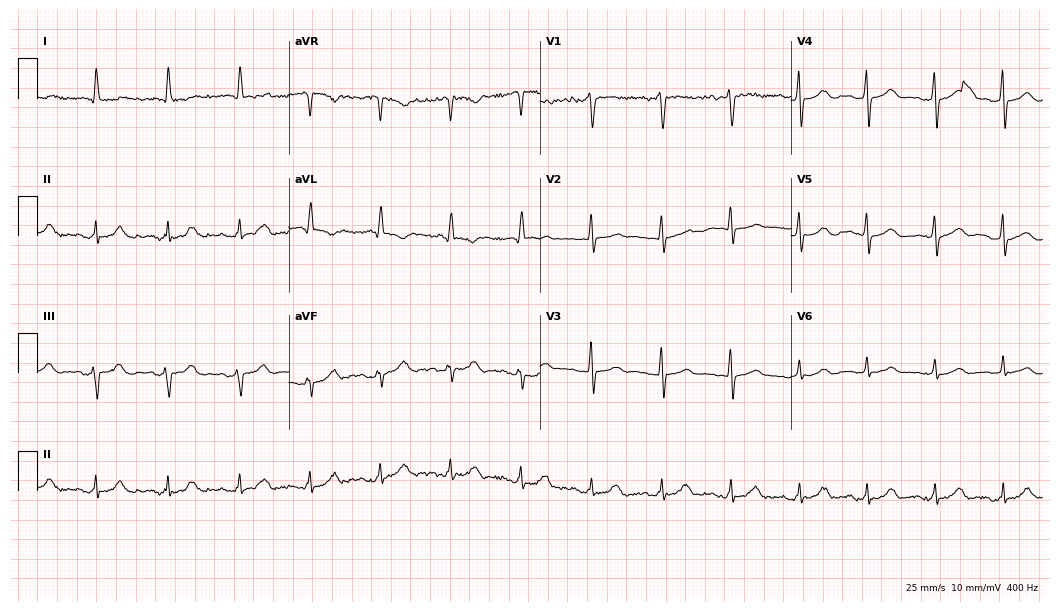
ECG (10.2-second recording at 400 Hz) — a 73-year-old man. Screened for six findings — first-degree AV block, right bundle branch block, left bundle branch block, sinus bradycardia, atrial fibrillation, sinus tachycardia — none is recorded. Other findings, if any, are not listed.